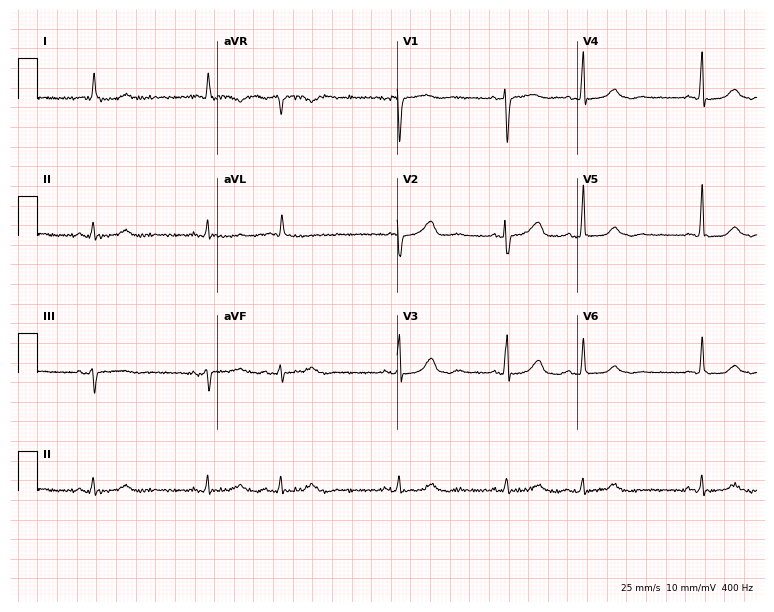
Resting 12-lead electrocardiogram. Patient: a 78-year-old female. Read as a normal ECG.